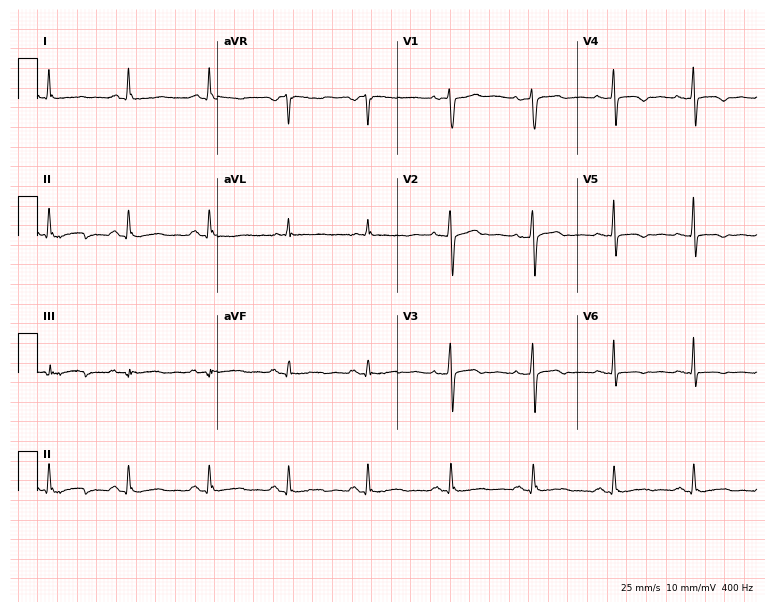
Standard 12-lead ECG recorded from a 45-year-old female. None of these six findings is recorded: first-degree AV block, right bundle branch block, left bundle branch block, sinus bradycardia, atrial fibrillation, sinus tachycardia. Other findings, if any, are not listed.